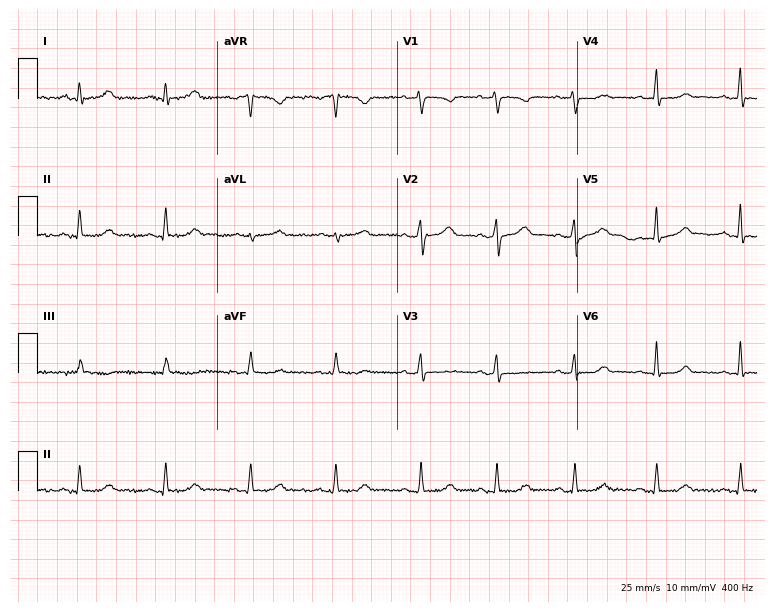
Standard 12-lead ECG recorded from a male, 36 years old. Read as a normal ECG.